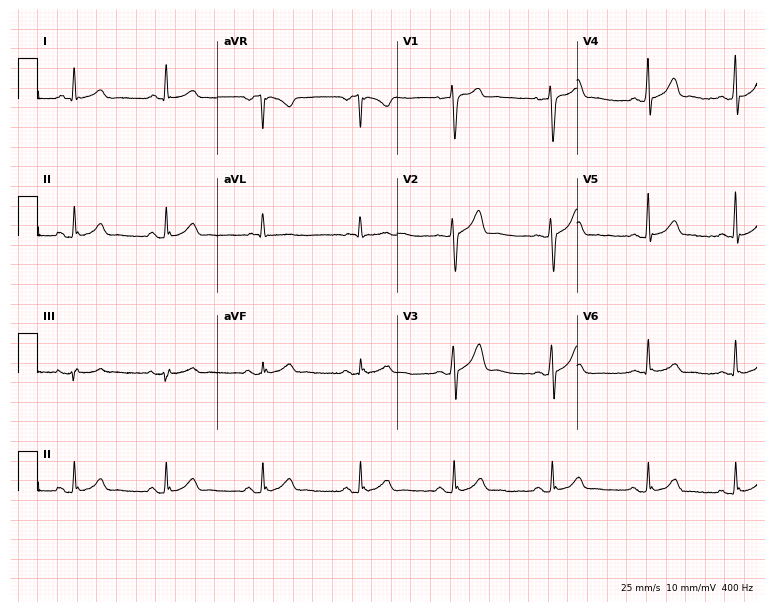
12-lead ECG from a man, 35 years old. Screened for six findings — first-degree AV block, right bundle branch block (RBBB), left bundle branch block (LBBB), sinus bradycardia, atrial fibrillation (AF), sinus tachycardia — none is recorded.